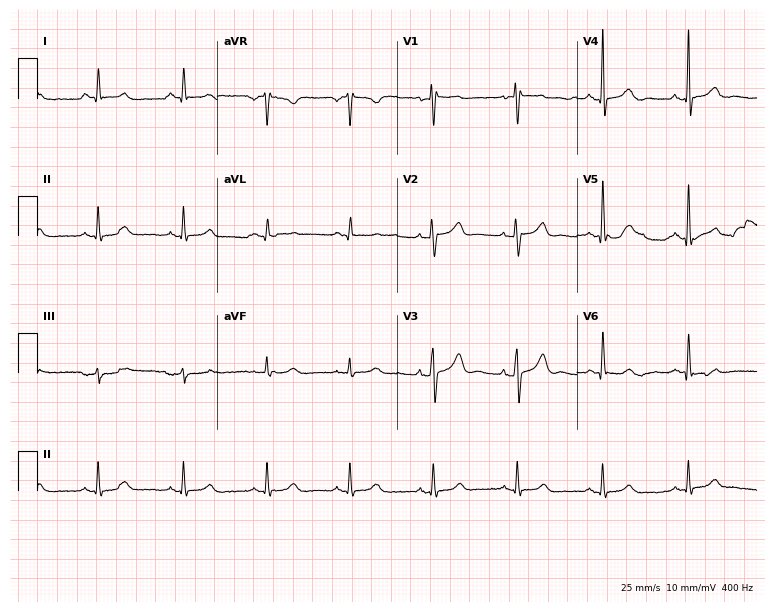
Electrocardiogram (7.3-second recording at 400 Hz), a 73-year-old male. Overall reading on record: normal ECG.